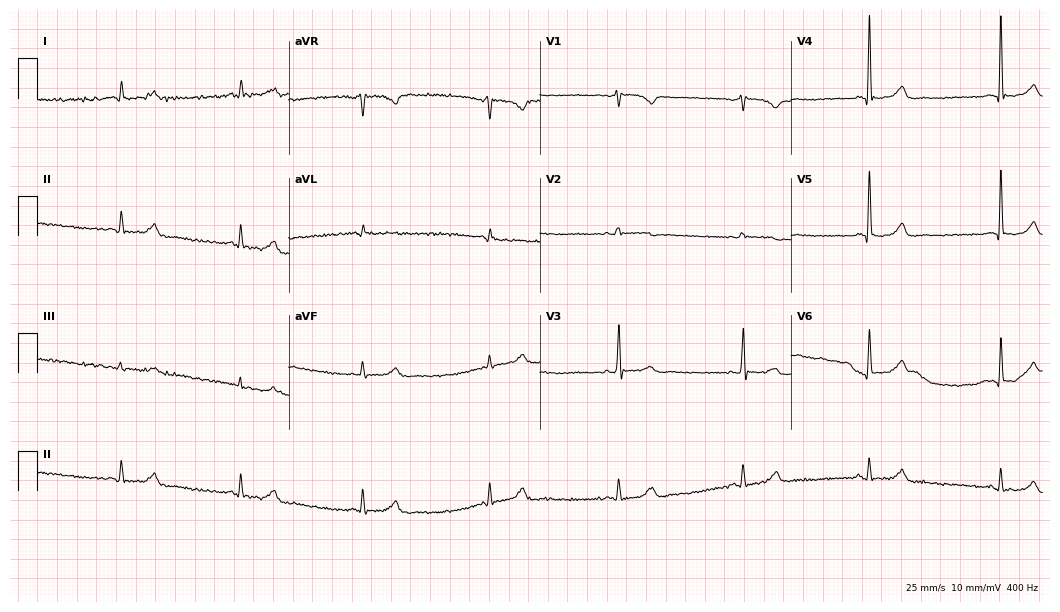
Electrocardiogram (10.2-second recording at 400 Hz), a male, 77 years old. Interpretation includes sinus bradycardia (a sinus rate of 50 beats per minute or less).